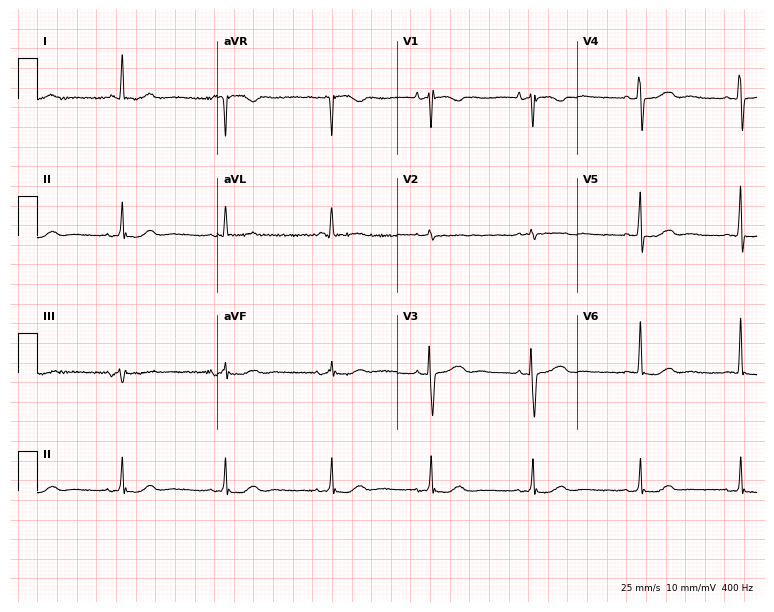
ECG (7.3-second recording at 400 Hz) — an 82-year-old female. Labelled as a normal ECG.